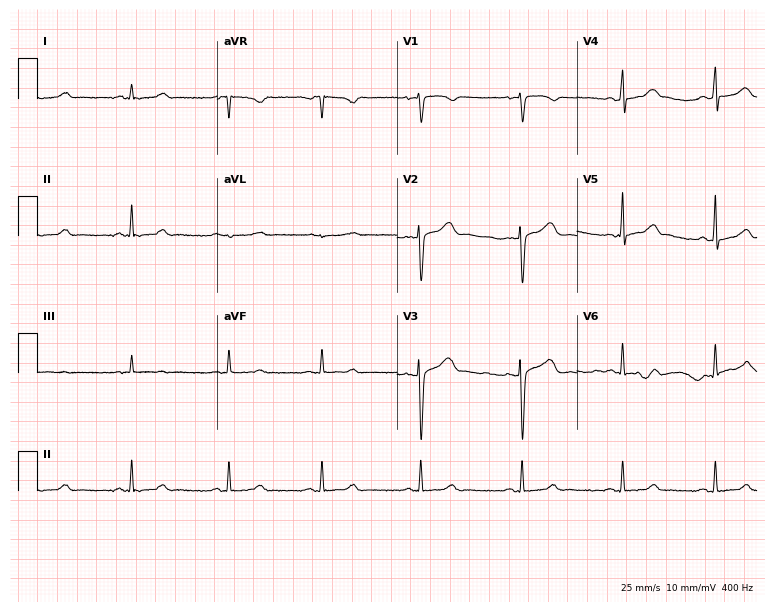
ECG — a woman, 35 years old. Labelled as a normal ECG.